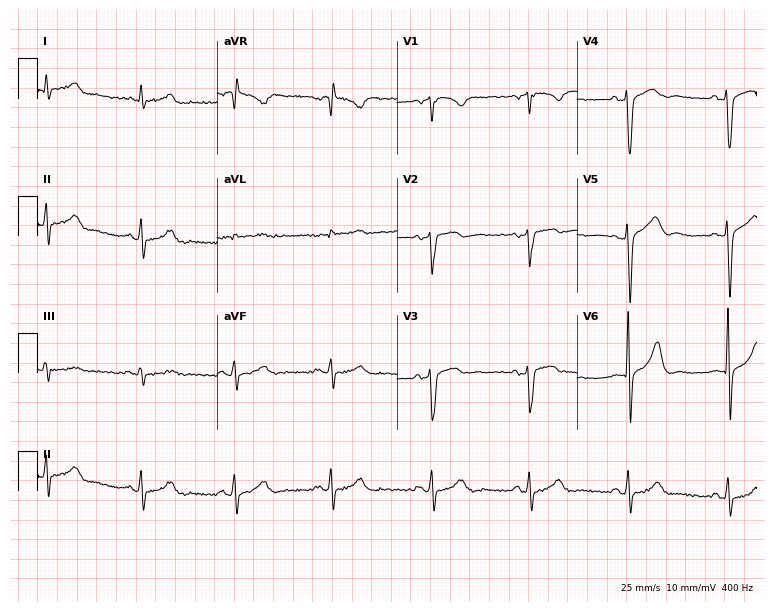
Resting 12-lead electrocardiogram (7.3-second recording at 400 Hz). Patient: a male, 60 years old. None of these six findings is recorded: first-degree AV block, right bundle branch block, left bundle branch block, sinus bradycardia, atrial fibrillation, sinus tachycardia.